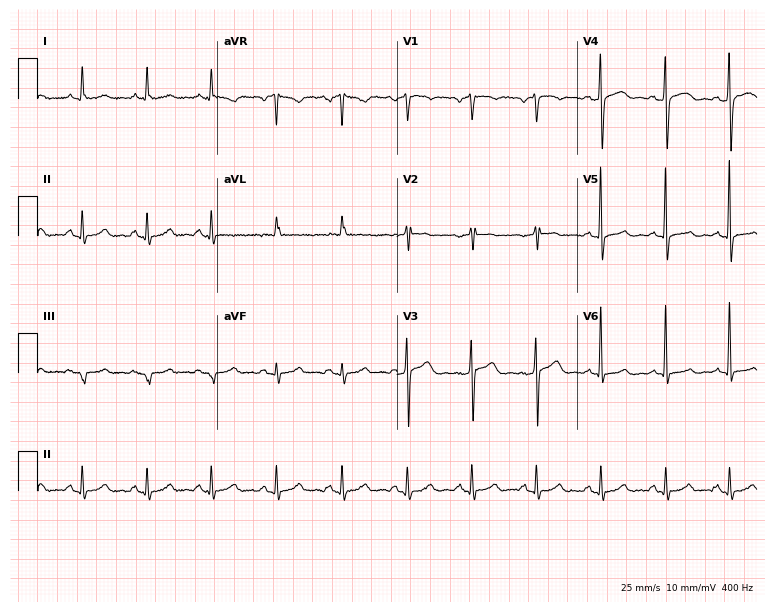
Electrocardiogram, a 56-year-old male. Of the six screened findings (first-degree AV block, right bundle branch block, left bundle branch block, sinus bradycardia, atrial fibrillation, sinus tachycardia), none is recorded. Findings outside these six are not listed.